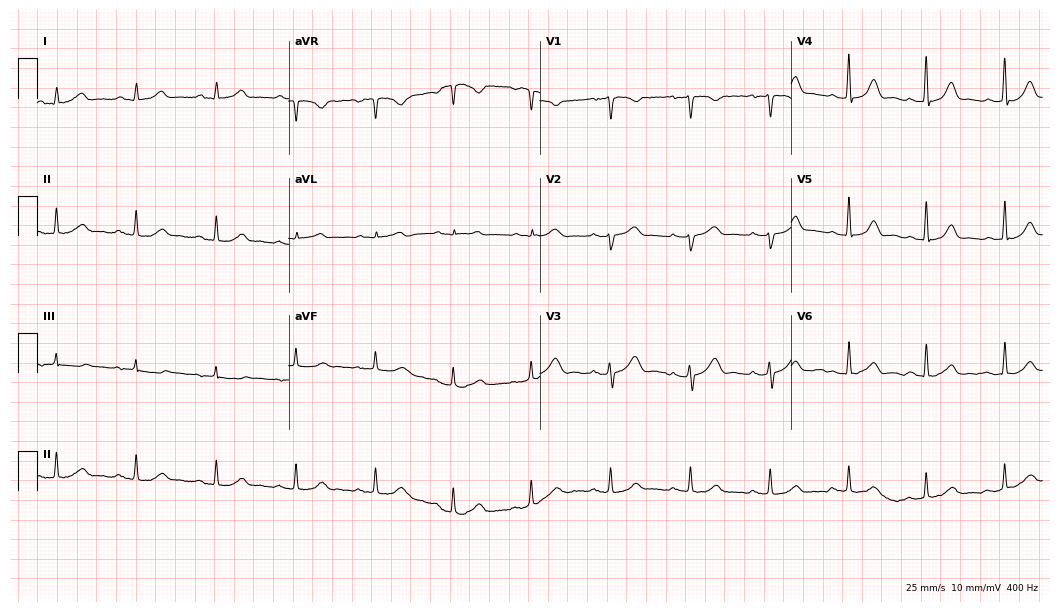
12-lead ECG from a female, 47 years old. Labelled as a normal ECG.